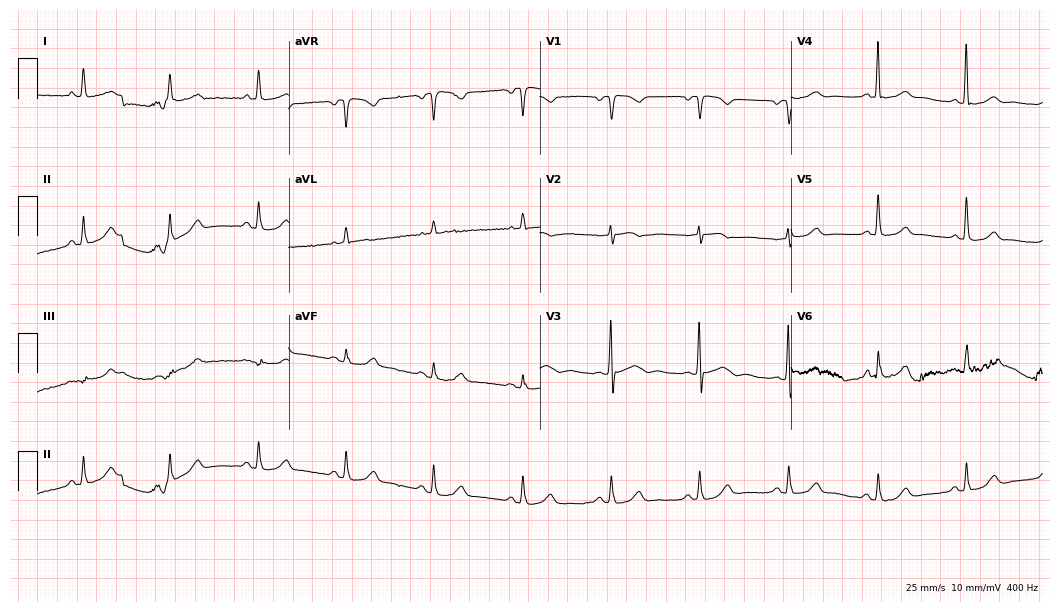
12-lead ECG from an 80-year-old woman. Labelled as a normal ECG.